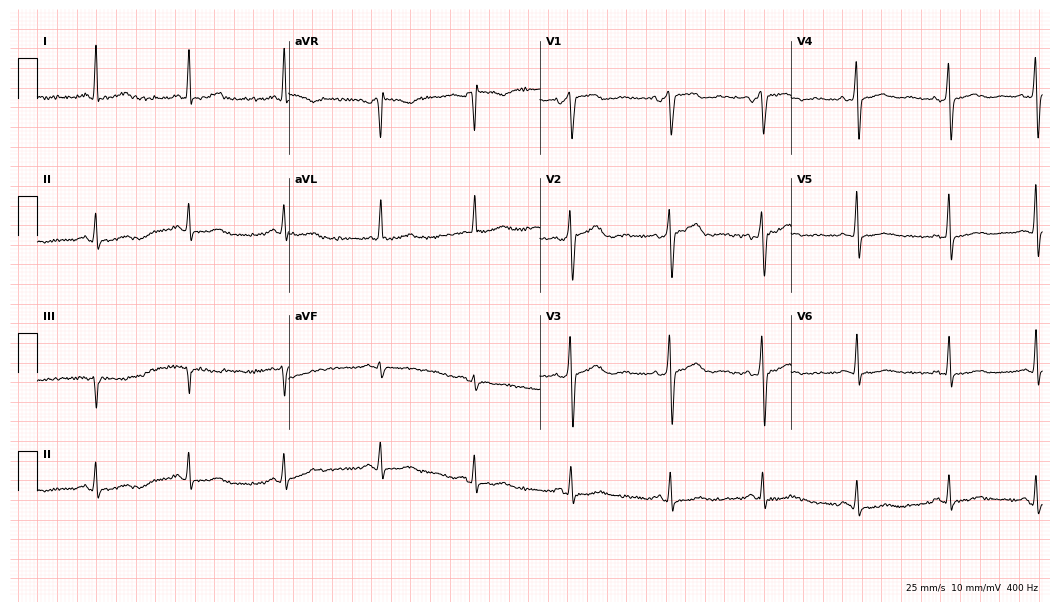
12-lead ECG from a 45-year-old female. No first-degree AV block, right bundle branch block (RBBB), left bundle branch block (LBBB), sinus bradycardia, atrial fibrillation (AF) or sinus tachycardia recorded for this tracing.